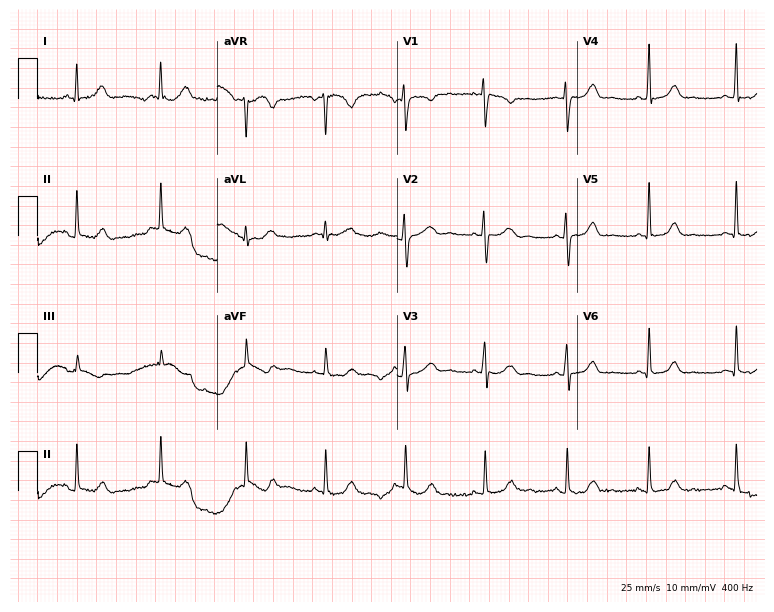
12-lead ECG (7.3-second recording at 400 Hz) from a female patient, 22 years old. Labelled as a normal ECG.